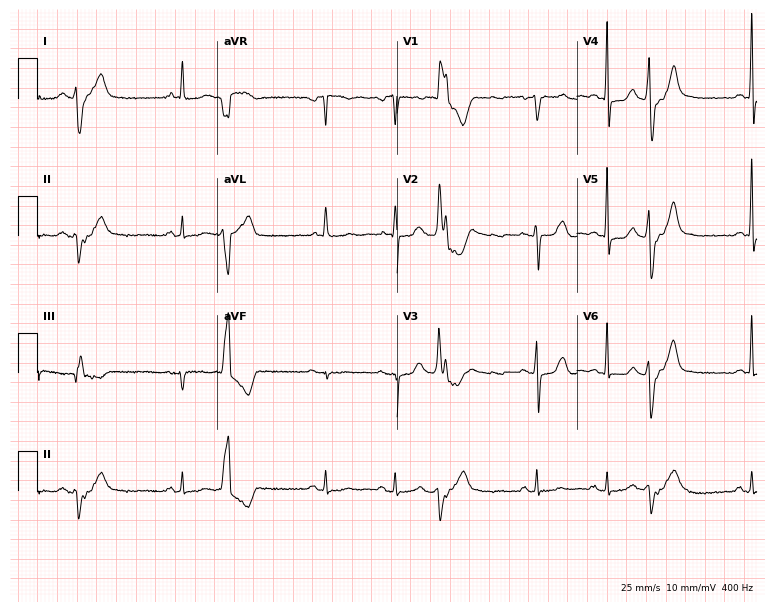
ECG — a female, 73 years old. Screened for six findings — first-degree AV block, right bundle branch block, left bundle branch block, sinus bradycardia, atrial fibrillation, sinus tachycardia — none is recorded.